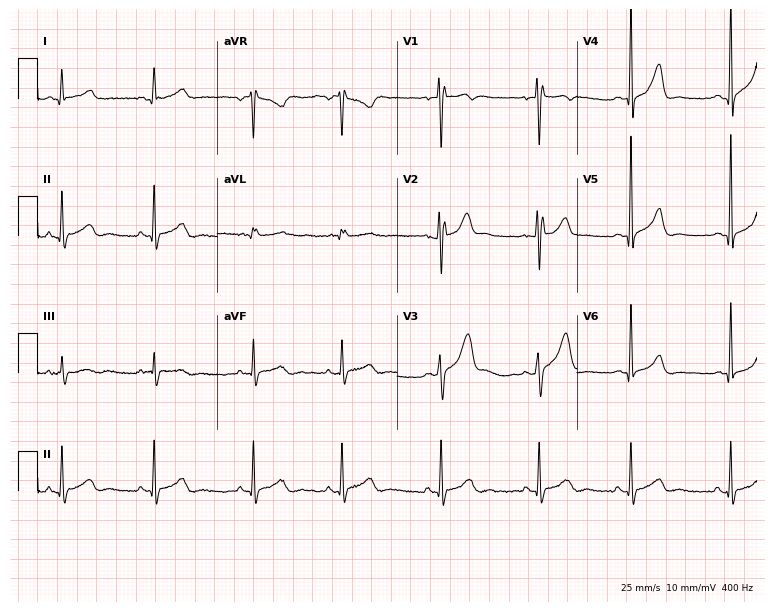
12-lead ECG from a male patient, 32 years old (7.3-second recording at 400 Hz). No first-degree AV block, right bundle branch block (RBBB), left bundle branch block (LBBB), sinus bradycardia, atrial fibrillation (AF) or sinus tachycardia recorded for this tracing. Only these six findings were labelled.